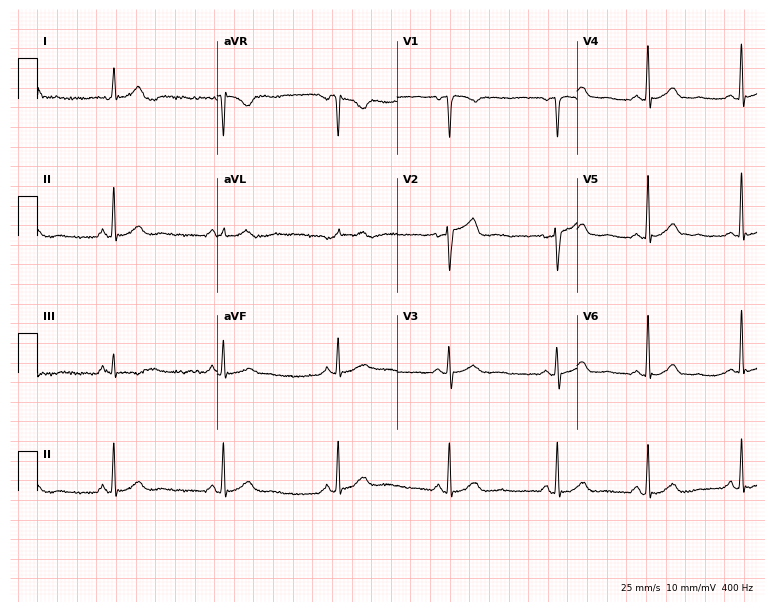
12-lead ECG from a female patient, 62 years old. Recorded interpretation: within normal limits.